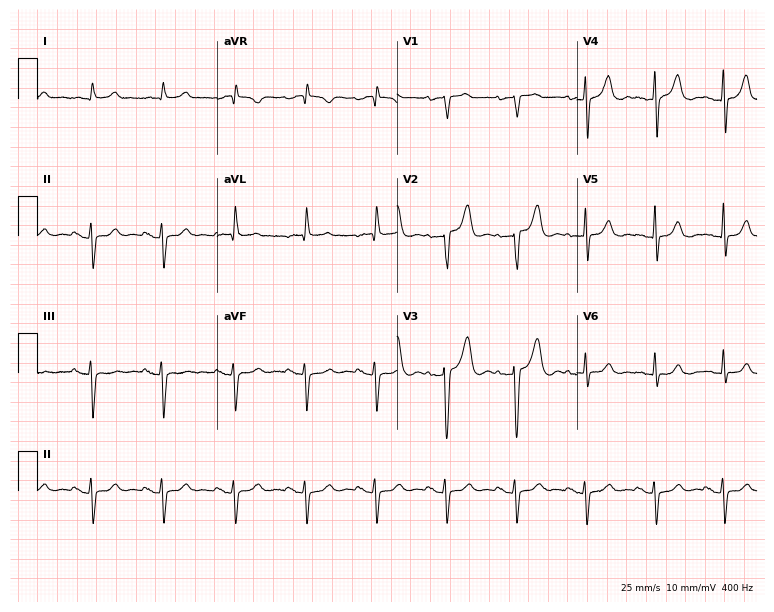
Electrocardiogram, a 79-year-old woman. Of the six screened findings (first-degree AV block, right bundle branch block, left bundle branch block, sinus bradycardia, atrial fibrillation, sinus tachycardia), none is recorded.